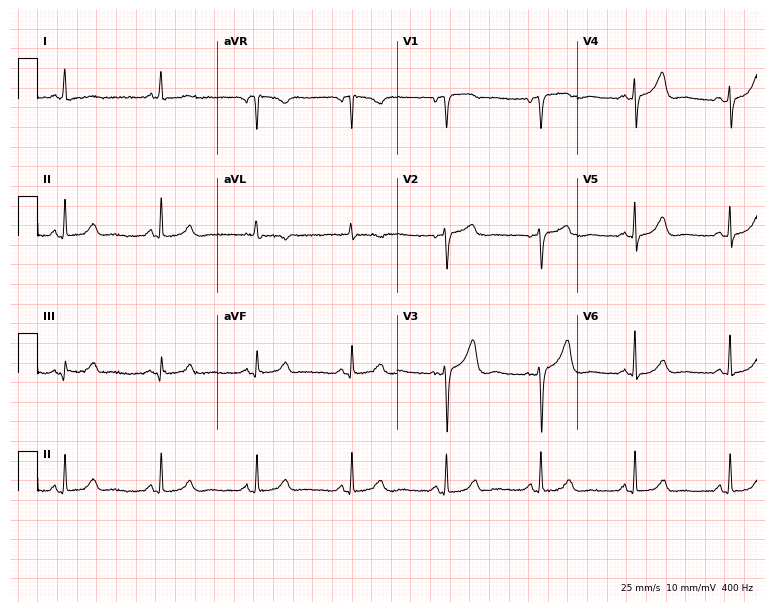
12-lead ECG from a female patient, 53 years old. No first-degree AV block, right bundle branch block, left bundle branch block, sinus bradycardia, atrial fibrillation or sinus tachycardia recorded for this tracing.